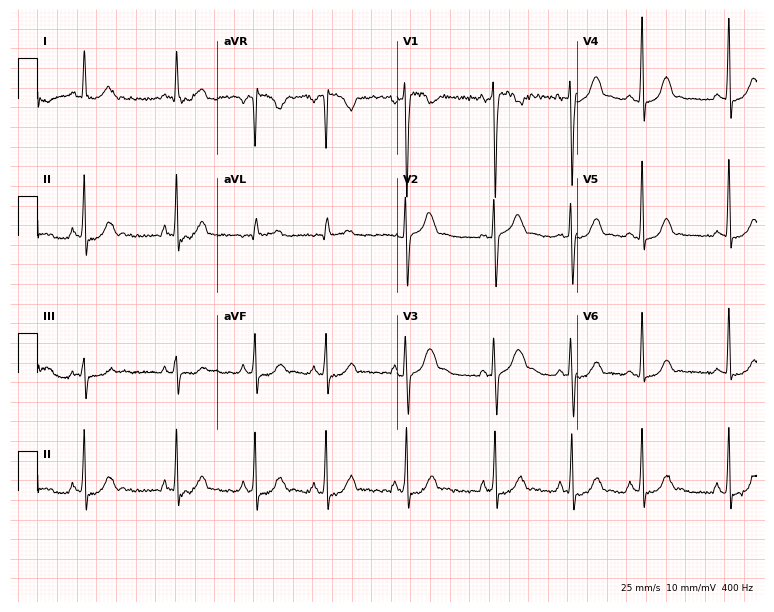
Resting 12-lead electrocardiogram (7.3-second recording at 400 Hz). Patient: a 30-year-old female. None of these six findings is recorded: first-degree AV block, right bundle branch block, left bundle branch block, sinus bradycardia, atrial fibrillation, sinus tachycardia. Other findings, if any, are not listed.